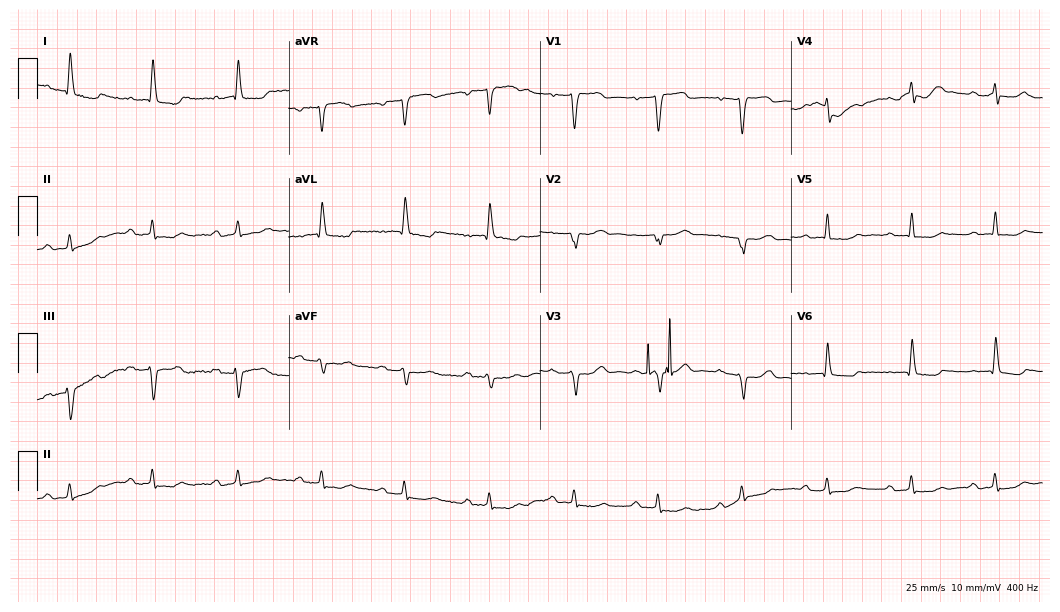
Resting 12-lead electrocardiogram (10.2-second recording at 400 Hz). Patient: a female, 81 years old. The tracing shows first-degree AV block.